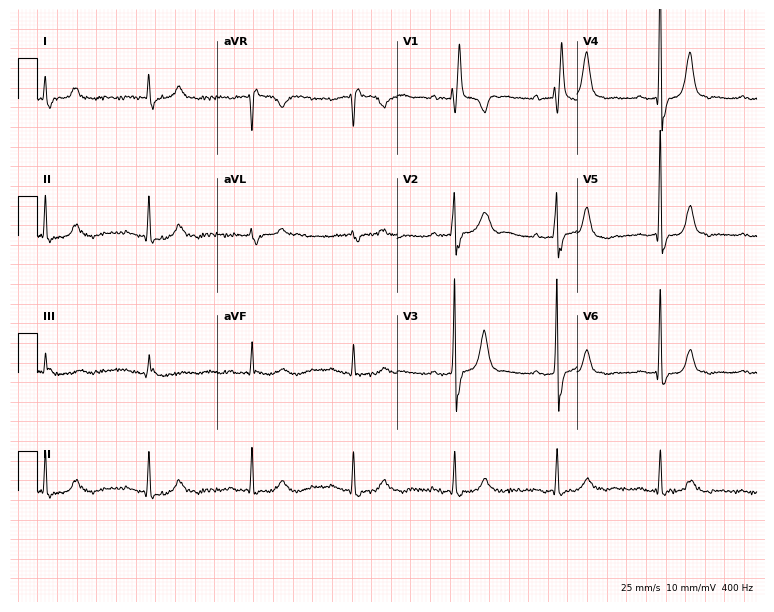
12-lead ECG from an 81-year-old man. Findings include right bundle branch block.